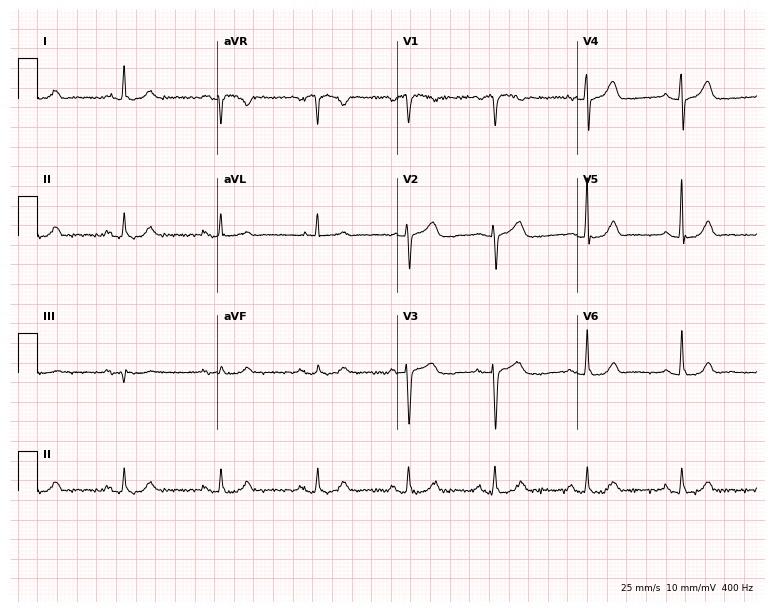
12-lead ECG from a 62-year-old female patient (7.3-second recording at 400 Hz). Recorded interpretation: within normal limits.